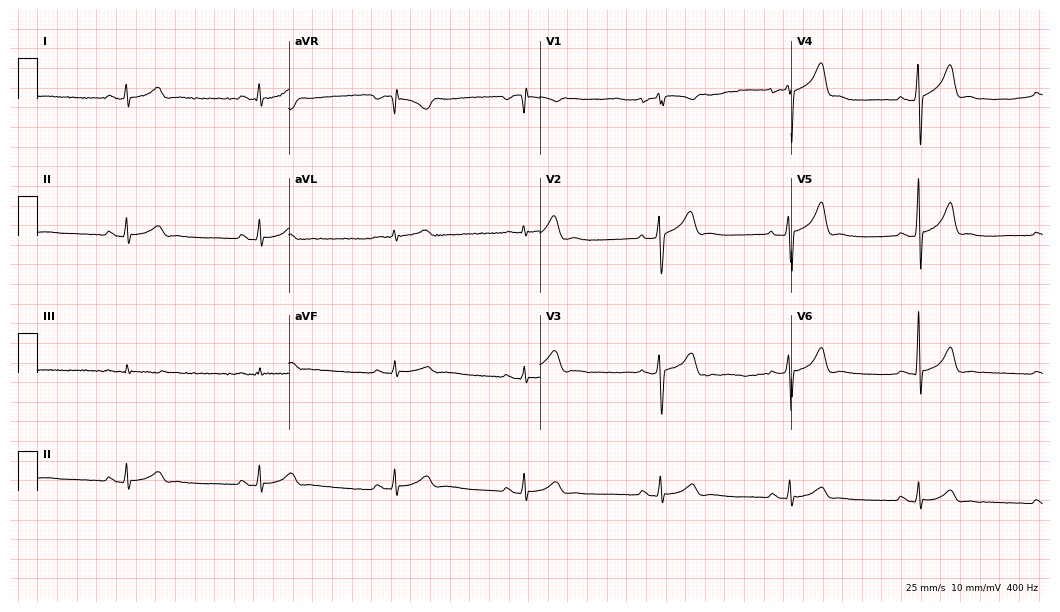
Standard 12-lead ECG recorded from a male, 34 years old (10.2-second recording at 400 Hz). The tracing shows sinus bradycardia (a sinus rate of 50 beats per minute or less).